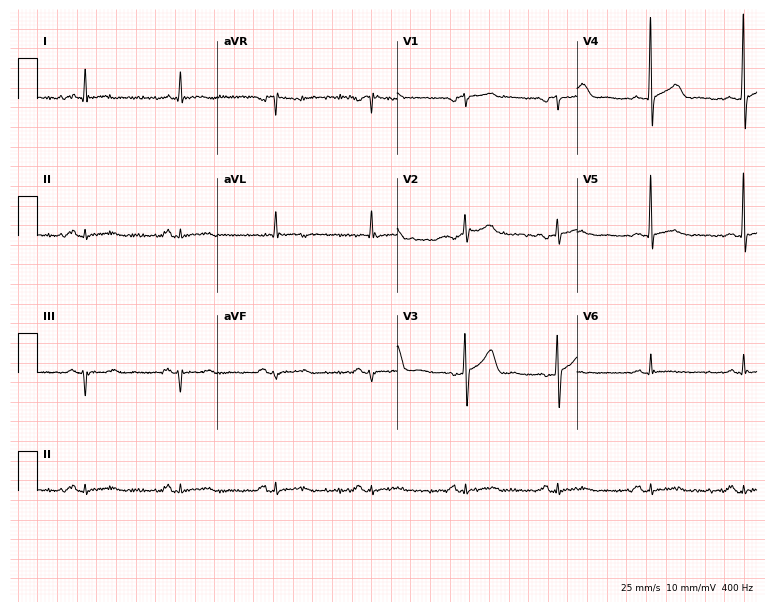
ECG (7.3-second recording at 400 Hz) — a male patient, 75 years old. Screened for six findings — first-degree AV block, right bundle branch block, left bundle branch block, sinus bradycardia, atrial fibrillation, sinus tachycardia — none is recorded. Only these six findings were labelled.